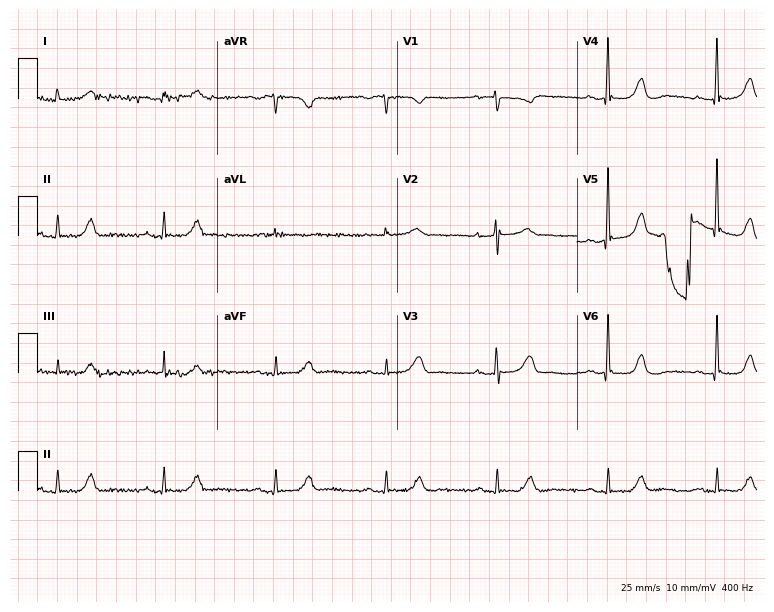
12-lead ECG (7.3-second recording at 400 Hz) from a female, 77 years old. Screened for six findings — first-degree AV block, right bundle branch block (RBBB), left bundle branch block (LBBB), sinus bradycardia, atrial fibrillation (AF), sinus tachycardia — none is recorded.